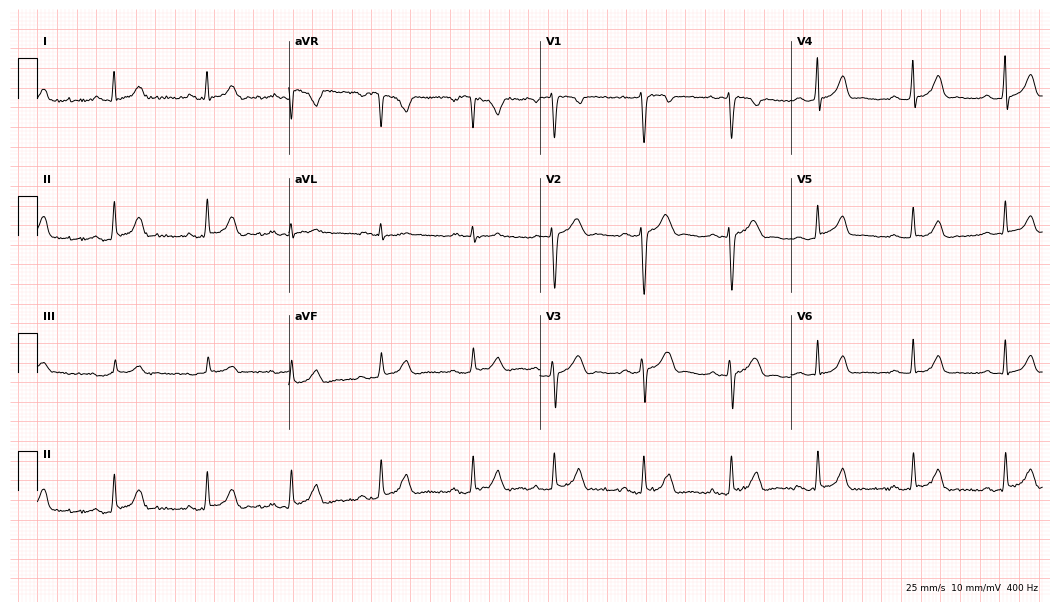
Resting 12-lead electrocardiogram (10.2-second recording at 400 Hz). Patient: a woman, 23 years old. Read as a normal ECG.